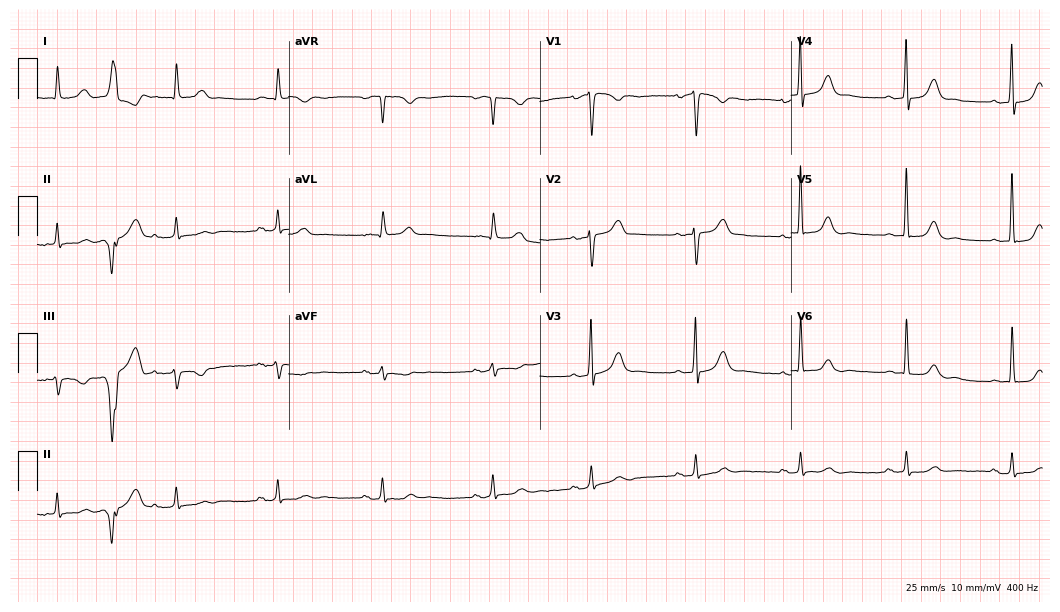
12-lead ECG from a 68-year-old woman. No first-degree AV block, right bundle branch block (RBBB), left bundle branch block (LBBB), sinus bradycardia, atrial fibrillation (AF) or sinus tachycardia recorded for this tracing.